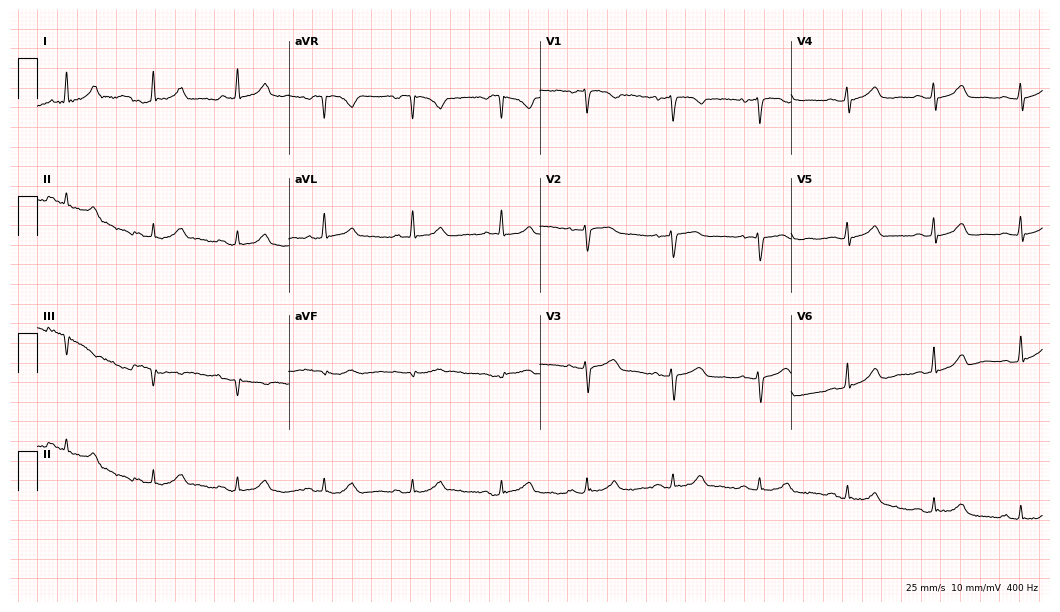
Standard 12-lead ECG recorded from a 65-year-old woman (10.2-second recording at 400 Hz). Read as a normal ECG.